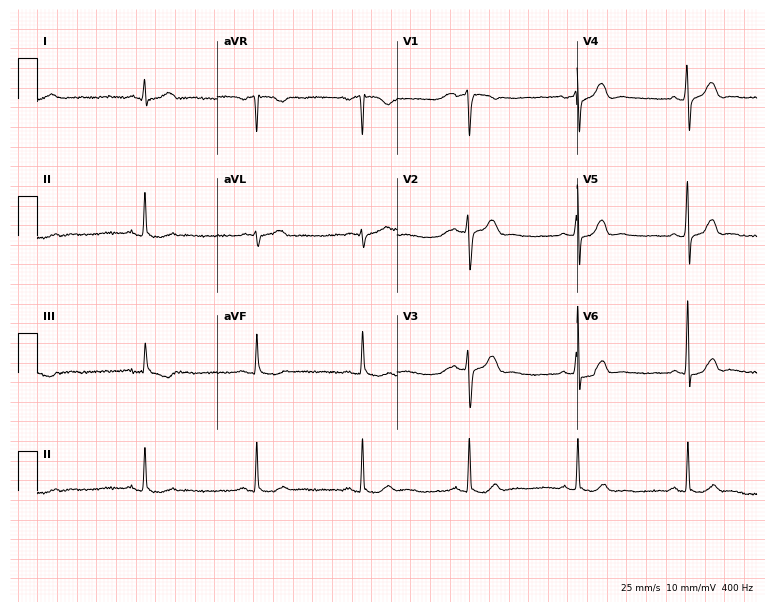
12-lead ECG (7.3-second recording at 400 Hz) from a 49-year-old male. Screened for six findings — first-degree AV block, right bundle branch block, left bundle branch block, sinus bradycardia, atrial fibrillation, sinus tachycardia — none is recorded.